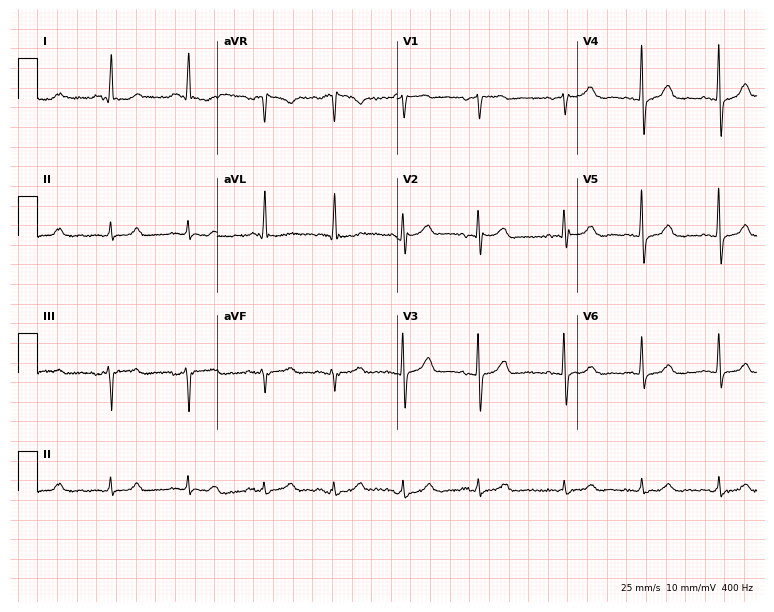
ECG — a female, 73 years old. Screened for six findings — first-degree AV block, right bundle branch block, left bundle branch block, sinus bradycardia, atrial fibrillation, sinus tachycardia — none is recorded.